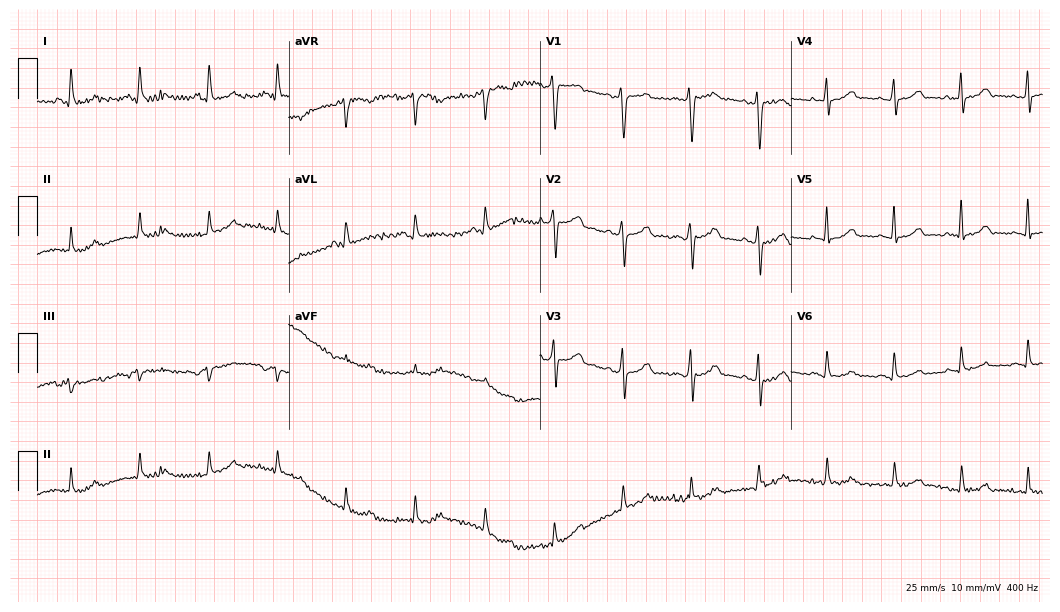
12-lead ECG (10.2-second recording at 400 Hz) from a female, 63 years old. Labelled as a normal ECG.